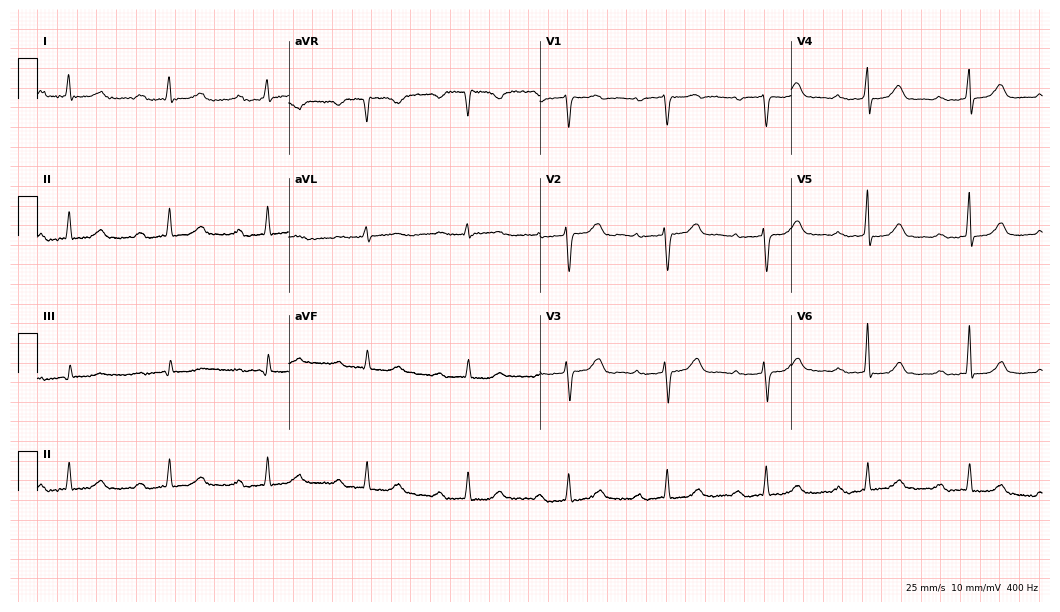
Resting 12-lead electrocardiogram. Patient: a female, 62 years old. The tracing shows first-degree AV block.